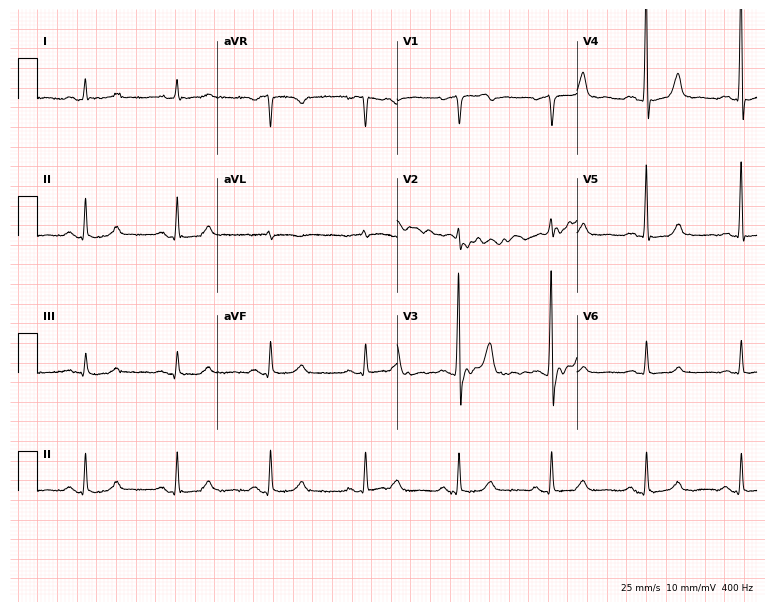
12-lead ECG (7.3-second recording at 400 Hz) from a 79-year-old man. Labelled as a normal ECG.